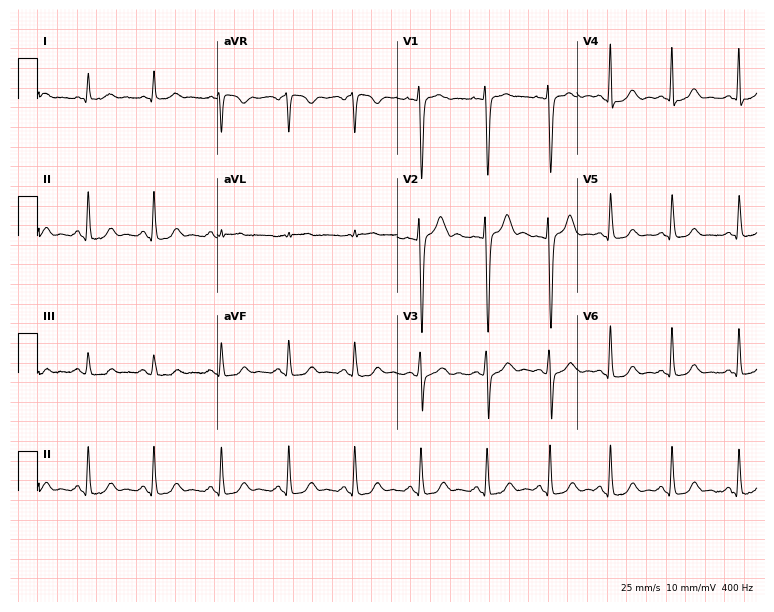
12-lead ECG (7.3-second recording at 400 Hz) from a man, 27 years old. Screened for six findings — first-degree AV block, right bundle branch block, left bundle branch block, sinus bradycardia, atrial fibrillation, sinus tachycardia — none is recorded. Other findings, if any, are not listed.